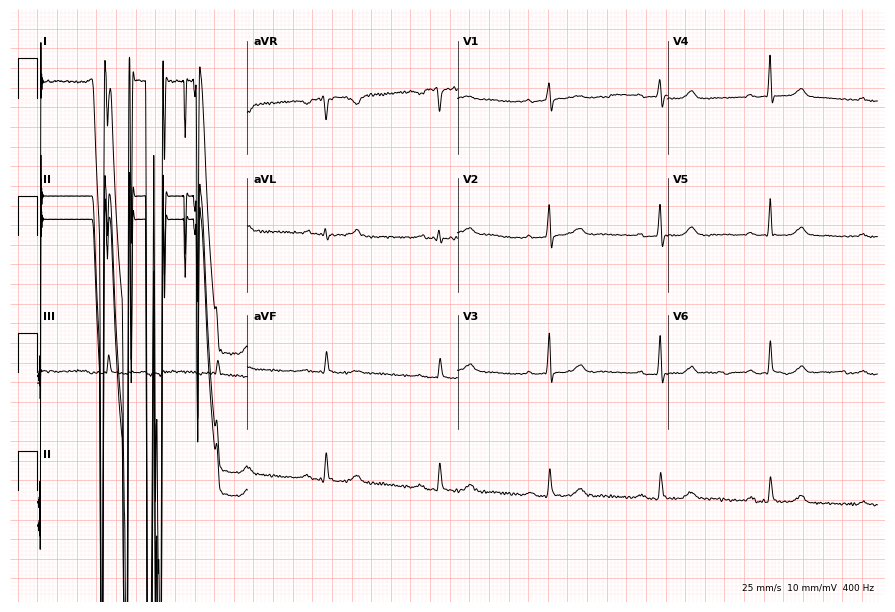
12-lead ECG from a 66-year-old male. No first-degree AV block, right bundle branch block, left bundle branch block, sinus bradycardia, atrial fibrillation or sinus tachycardia recorded for this tracing. Only these six findings were labelled.